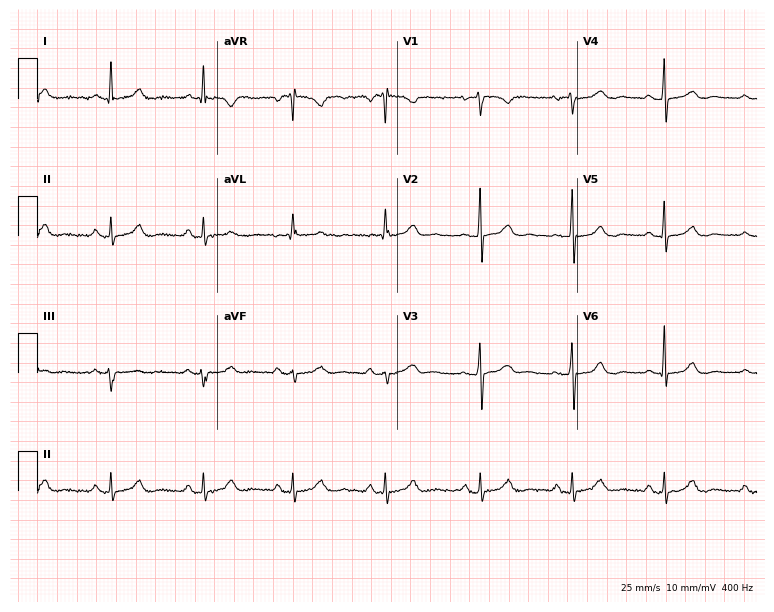
Electrocardiogram (7.3-second recording at 400 Hz), a 63-year-old female patient. Overall reading on record: normal ECG.